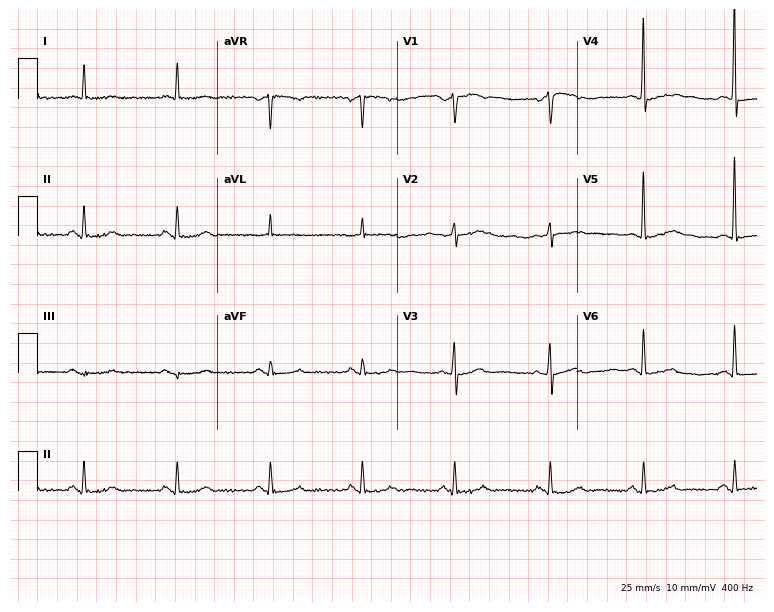
12-lead ECG from a 70-year-old female. Screened for six findings — first-degree AV block, right bundle branch block, left bundle branch block, sinus bradycardia, atrial fibrillation, sinus tachycardia — none is recorded. Only these six findings were labelled.